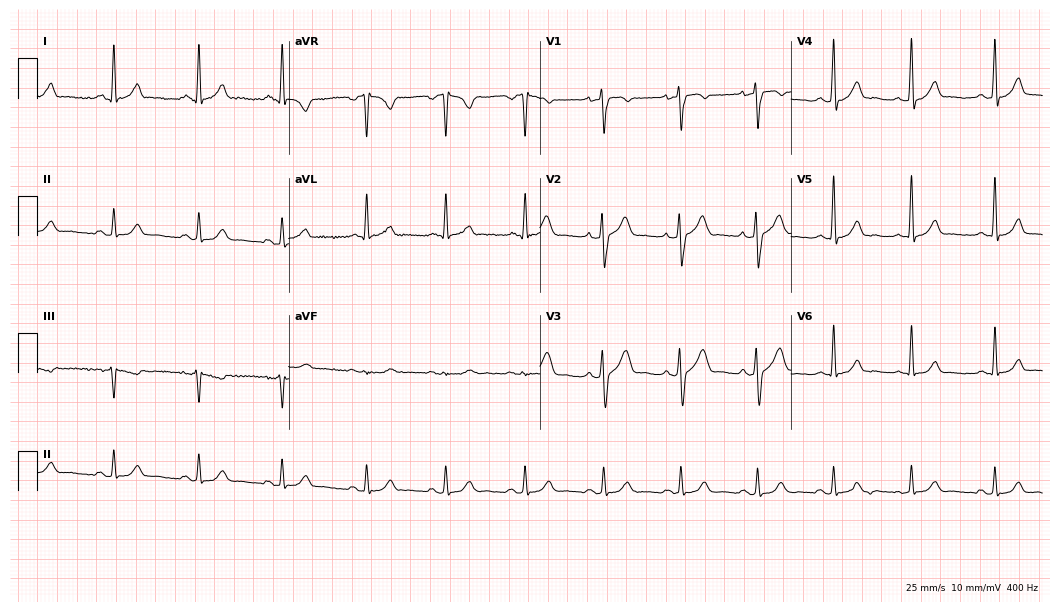
Resting 12-lead electrocardiogram. Patient: a male, 34 years old. Read as a normal ECG.